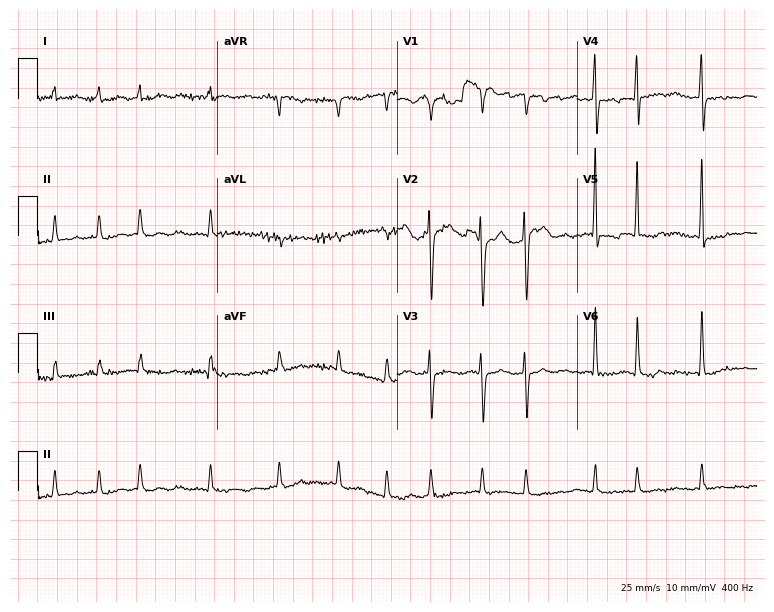
Standard 12-lead ECG recorded from a female patient, 80 years old (7.3-second recording at 400 Hz). The tracing shows atrial fibrillation.